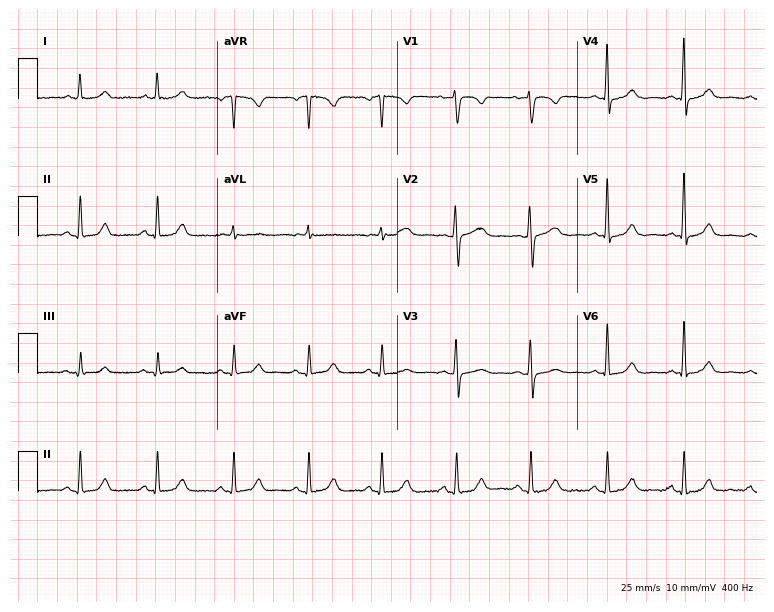
12-lead ECG from a female, 40 years old. Labelled as a normal ECG.